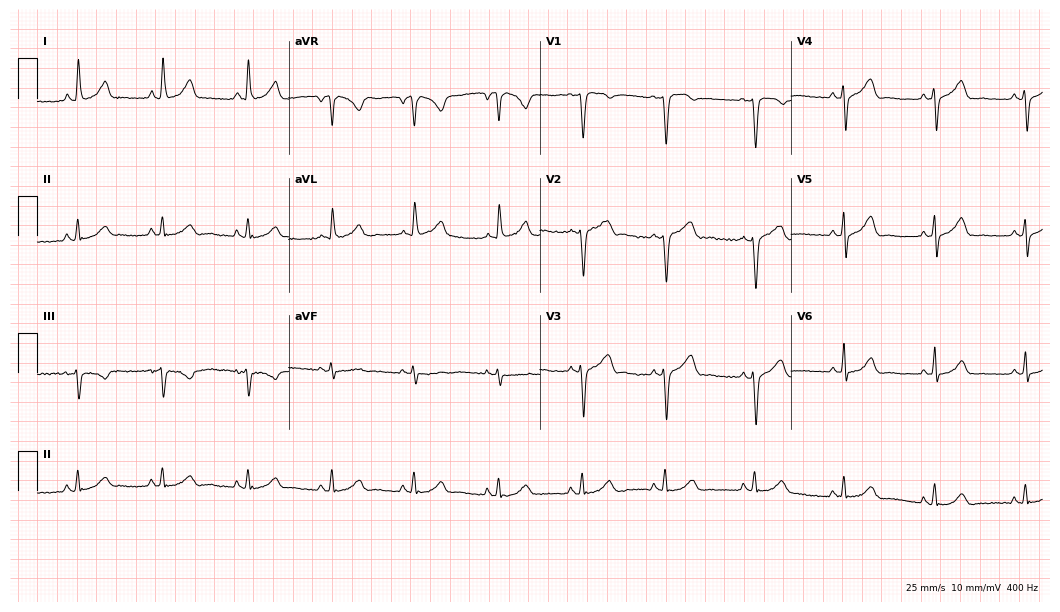
Standard 12-lead ECG recorded from a 41-year-old female (10.2-second recording at 400 Hz). None of these six findings is recorded: first-degree AV block, right bundle branch block, left bundle branch block, sinus bradycardia, atrial fibrillation, sinus tachycardia.